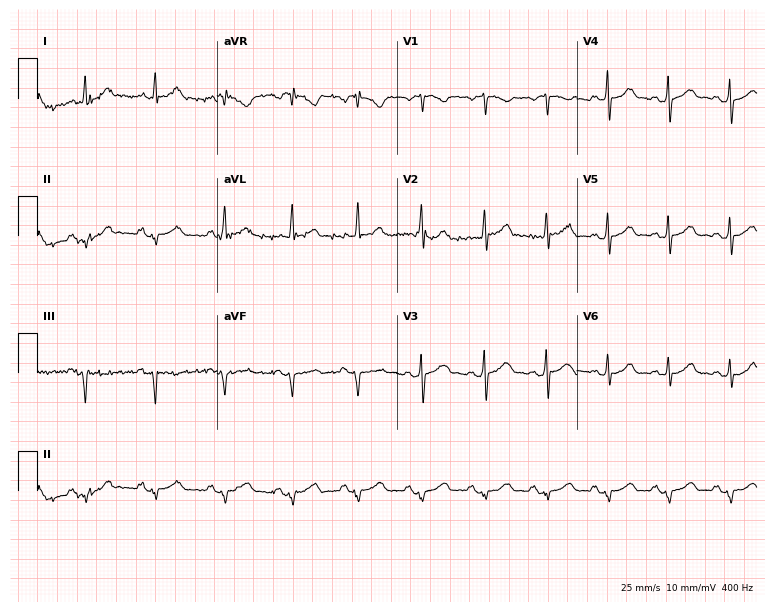
12-lead ECG from a male, 43 years old. No first-degree AV block, right bundle branch block, left bundle branch block, sinus bradycardia, atrial fibrillation or sinus tachycardia recorded for this tracing.